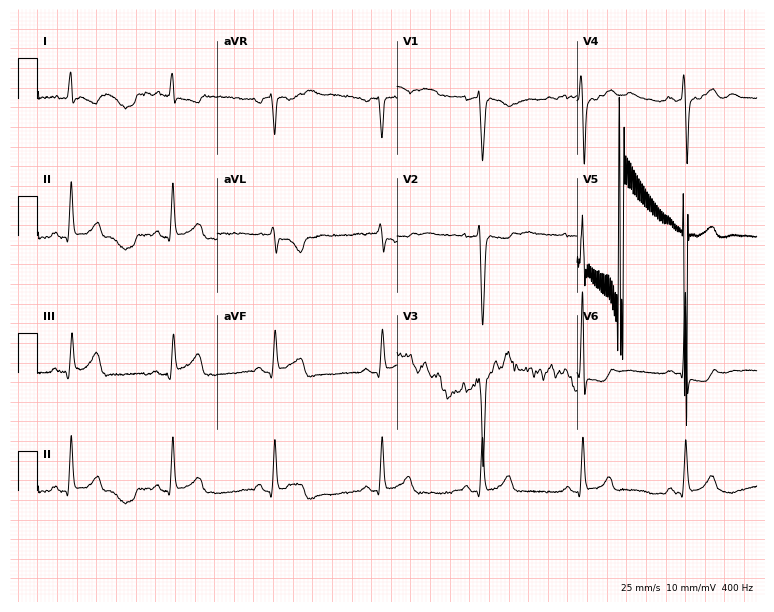
Resting 12-lead electrocardiogram (7.3-second recording at 400 Hz). Patient: a male, 43 years old. None of these six findings is recorded: first-degree AV block, right bundle branch block, left bundle branch block, sinus bradycardia, atrial fibrillation, sinus tachycardia. Findings outside these six are not listed.